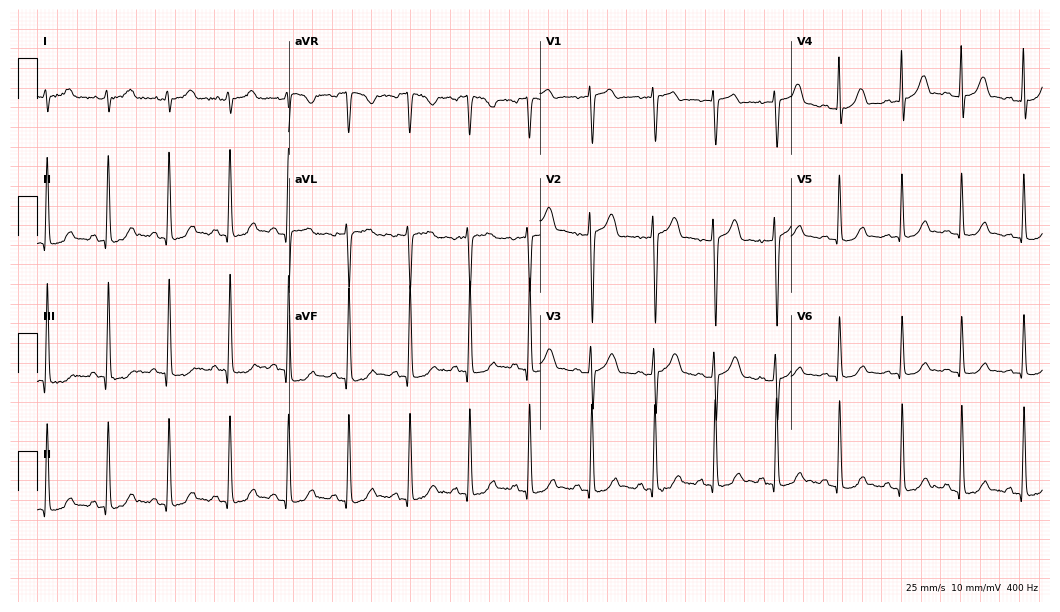
ECG (10.2-second recording at 400 Hz) — a female patient, 43 years old. Screened for six findings — first-degree AV block, right bundle branch block (RBBB), left bundle branch block (LBBB), sinus bradycardia, atrial fibrillation (AF), sinus tachycardia — none is recorded.